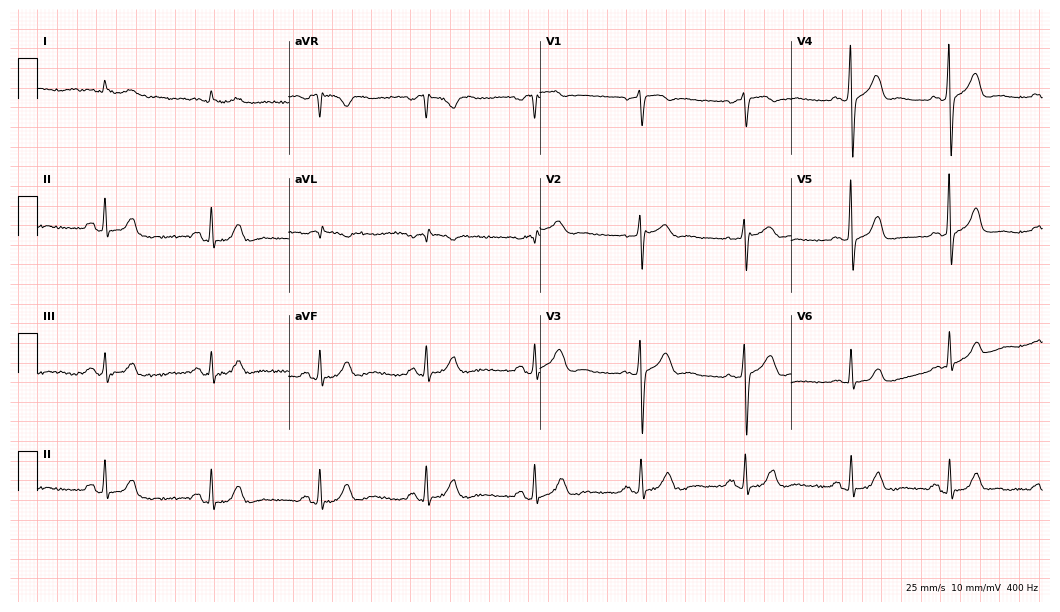
12-lead ECG from a 79-year-old male. No first-degree AV block, right bundle branch block, left bundle branch block, sinus bradycardia, atrial fibrillation or sinus tachycardia recorded for this tracing. Other findings, if any, are not listed.